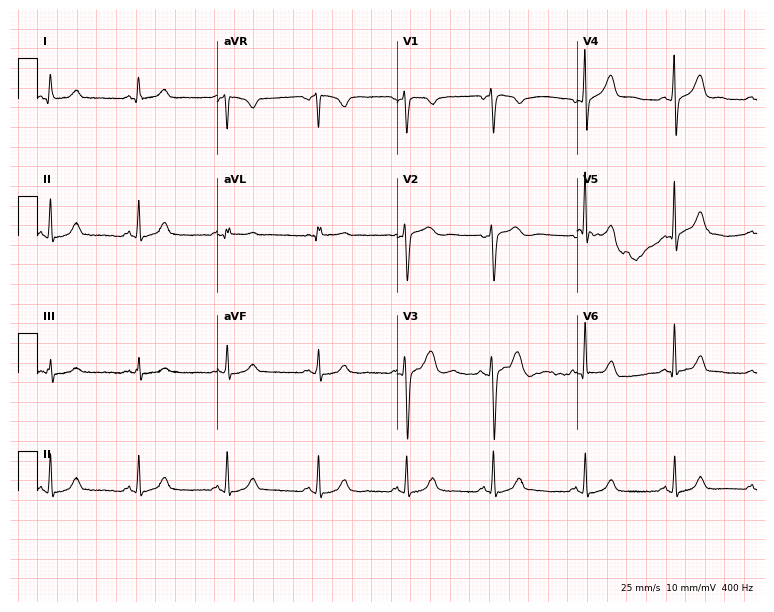
12-lead ECG from a woman, 47 years old. Labelled as a normal ECG.